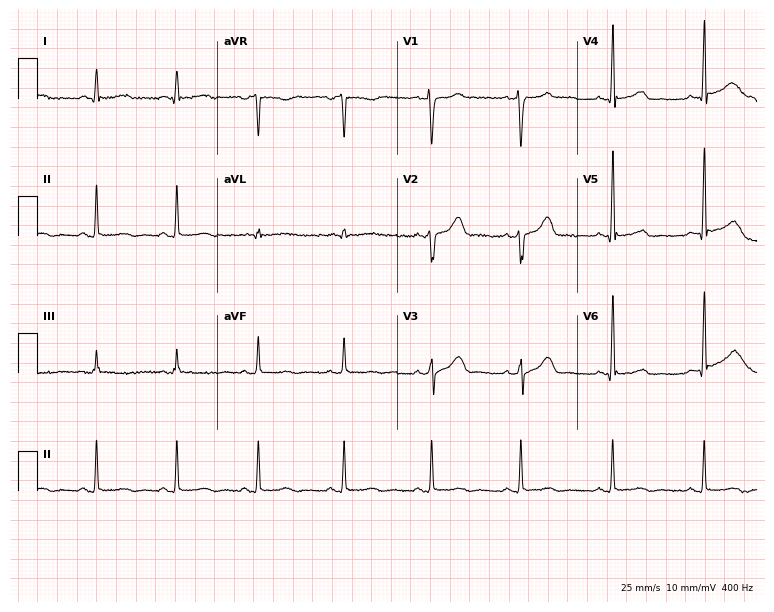
12-lead ECG from a male, 37 years old. No first-degree AV block, right bundle branch block (RBBB), left bundle branch block (LBBB), sinus bradycardia, atrial fibrillation (AF) or sinus tachycardia recorded for this tracing. Findings outside these six are not listed.